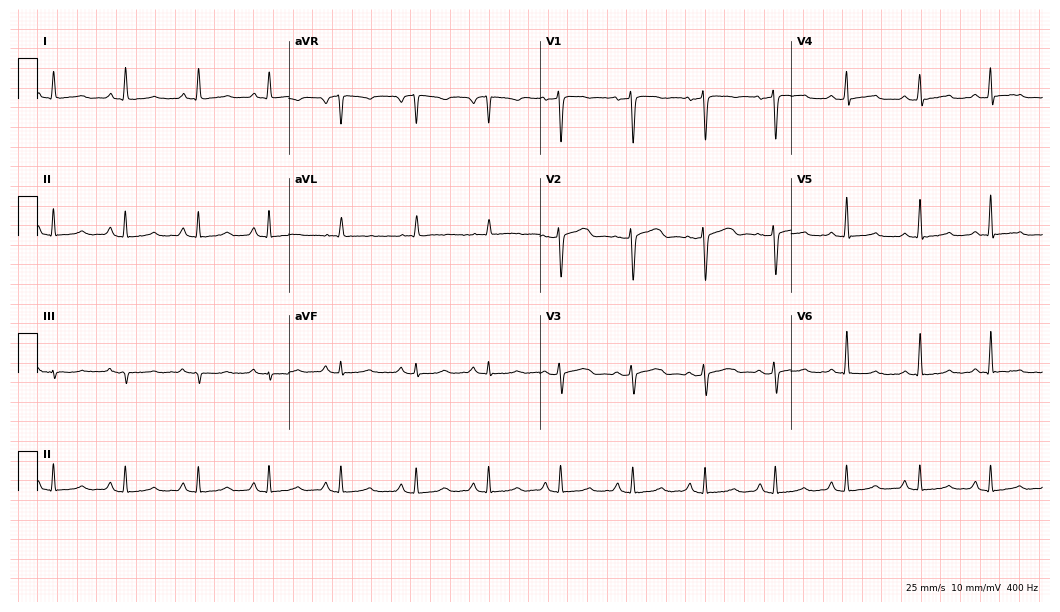
12-lead ECG (10.2-second recording at 400 Hz) from a 49-year-old woman. Screened for six findings — first-degree AV block, right bundle branch block, left bundle branch block, sinus bradycardia, atrial fibrillation, sinus tachycardia — none is recorded.